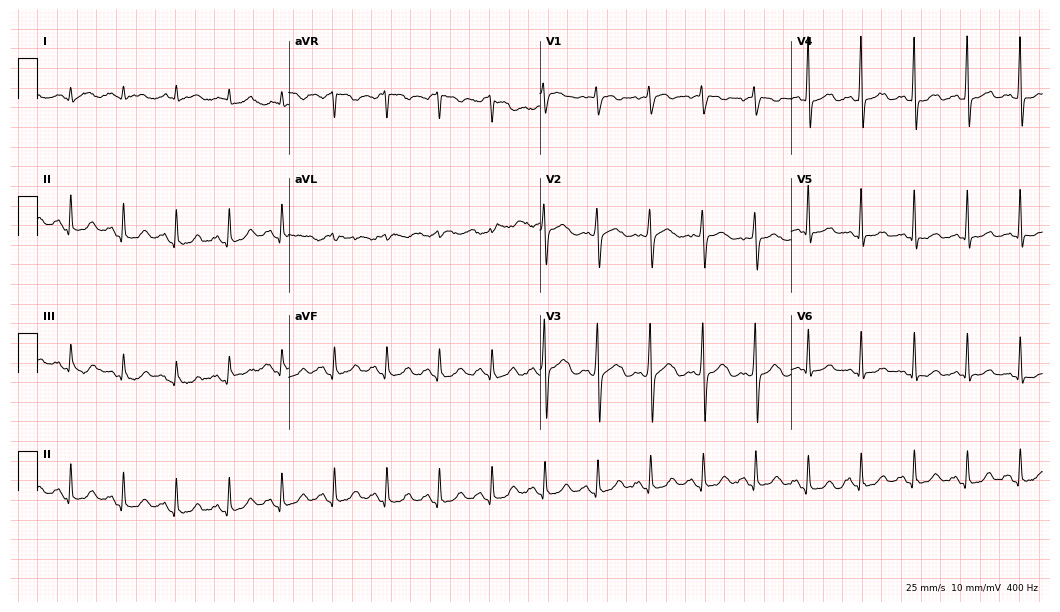
Standard 12-lead ECG recorded from a 76-year-old male (10.2-second recording at 400 Hz). The tracing shows sinus tachycardia (a sinus rate of 100 beats per minute or more).